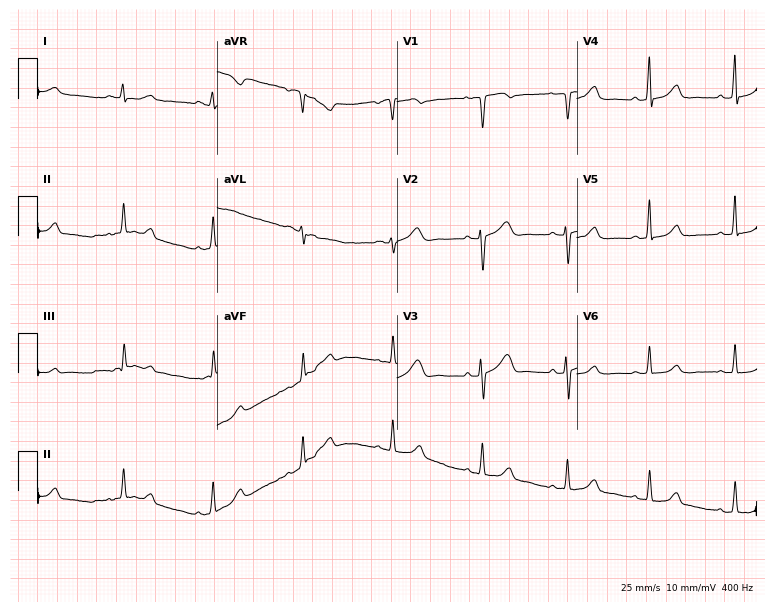
12-lead ECG from a female, 36 years old. No first-degree AV block, right bundle branch block, left bundle branch block, sinus bradycardia, atrial fibrillation or sinus tachycardia recorded for this tracing. Other findings, if any, are not listed.